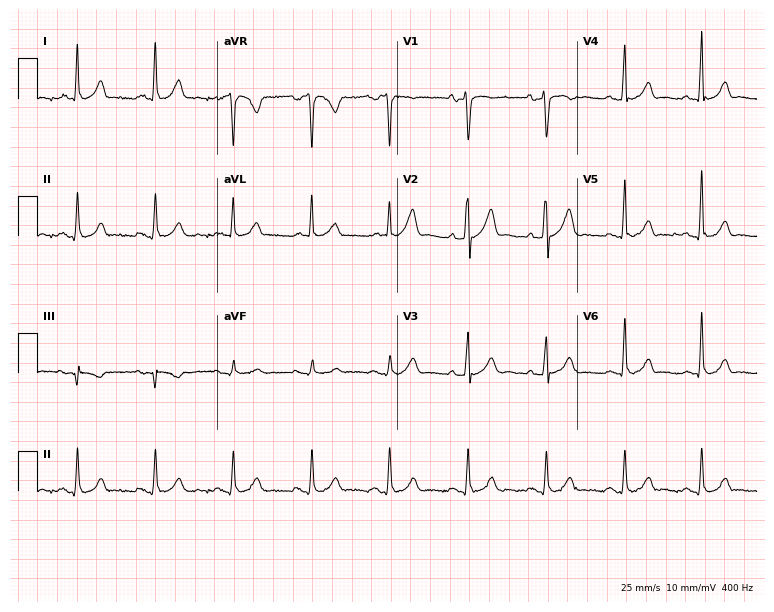
Resting 12-lead electrocardiogram. Patient: a 62-year-old male. Read as a normal ECG.